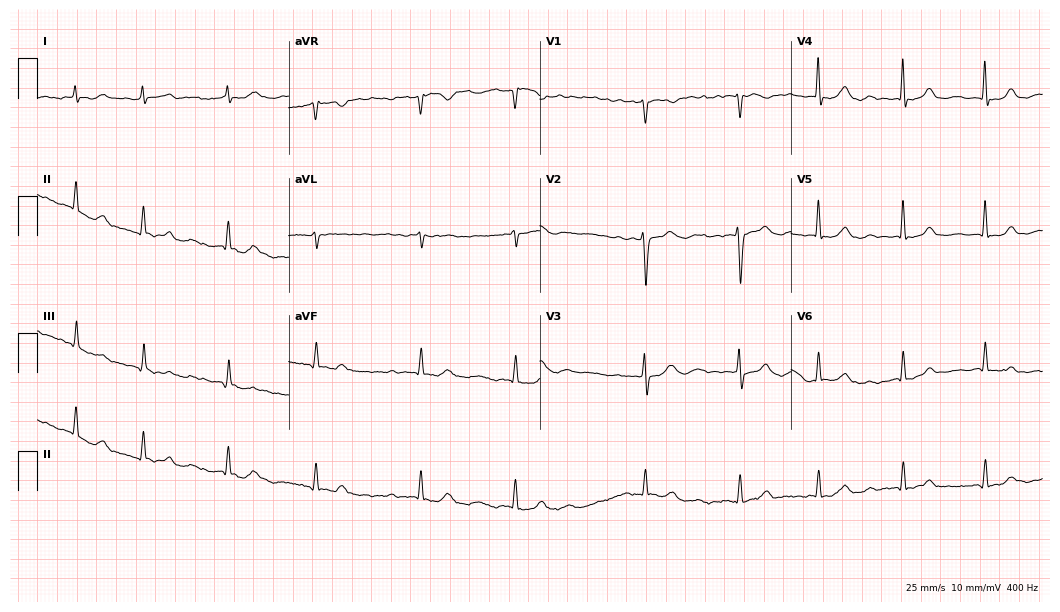
ECG — an 86-year-old woman. Findings include atrial fibrillation.